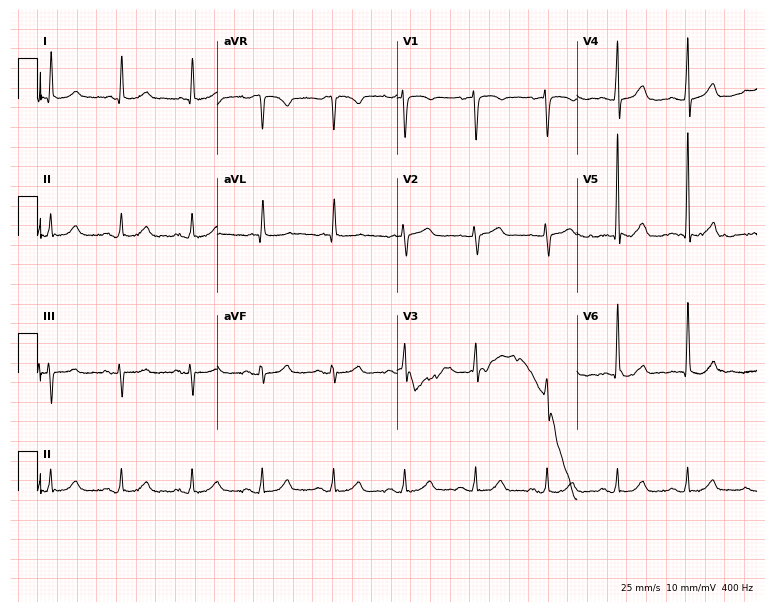
12-lead ECG from an 81-year-old man. Screened for six findings — first-degree AV block, right bundle branch block, left bundle branch block, sinus bradycardia, atrial fibrillation, sinus tachycardia — none is recorded.